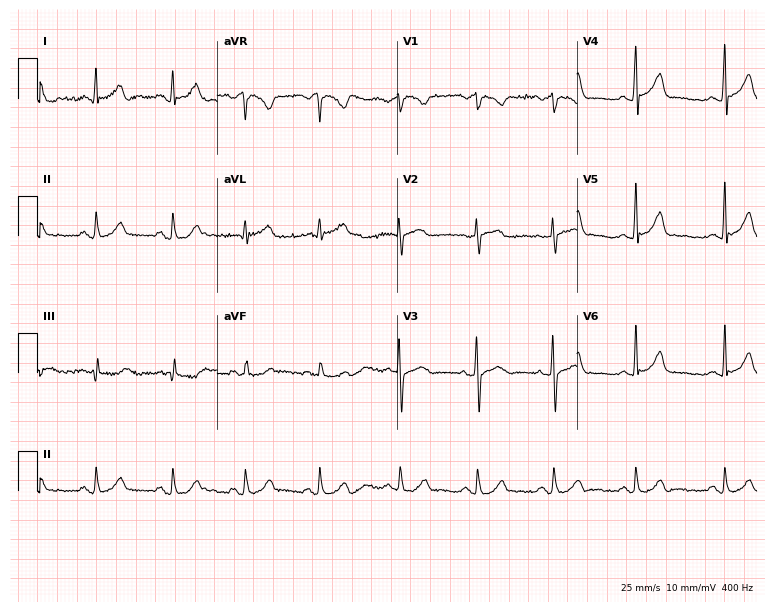
Standard 12-lead ECG recorded from a female, 29 years old. None of these six findings is recorded: first-degree AV block, right bundle branch block, left bundle branch block, sinus bradycardia, atrial fibrillation, sinus tachycardia. Findings outside these six are not listed.